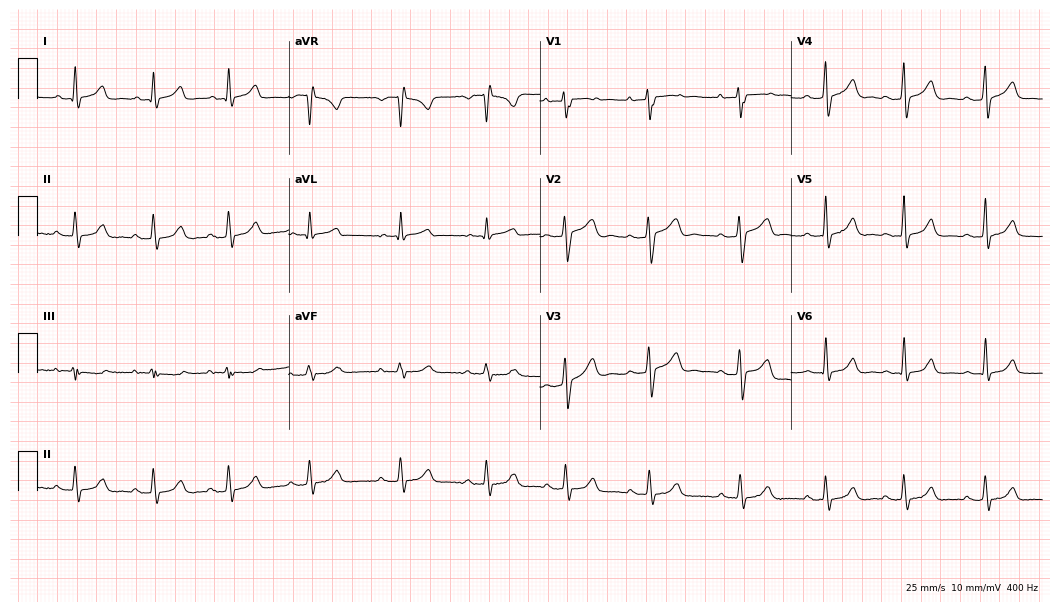
ECG (10.2-second recording at 400 Hz) — a female patient, 29 years old. Screened for six findings — first-degree AV block, right bundle branch block, left bundle branch block, sinus bradycardia, atrial fibrillation, sinus tachycardia — none is recorded.